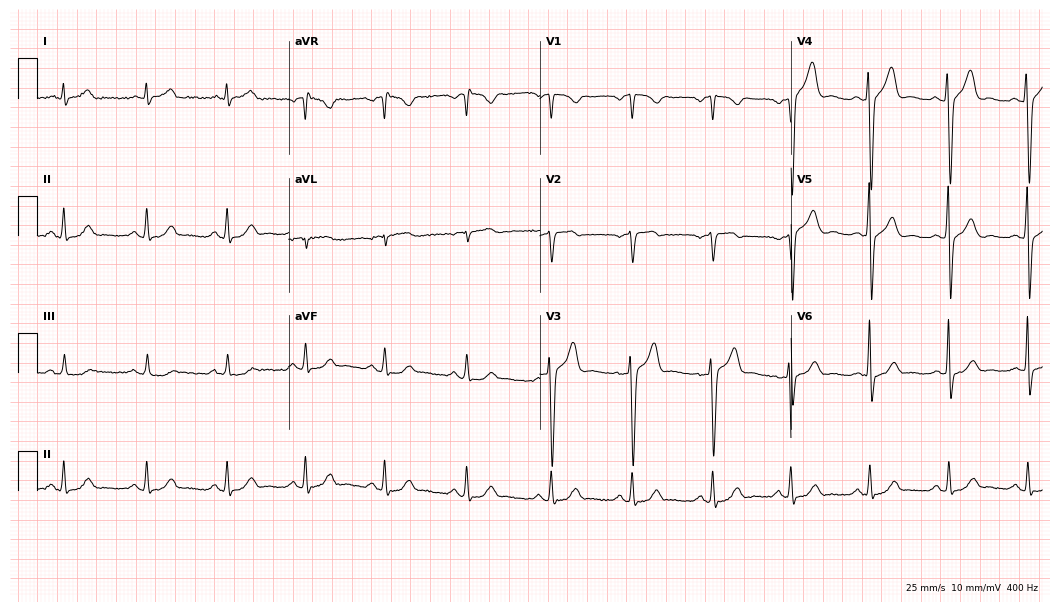
Resting 12-lead electrocardiogram. Patient: a male, 38 years old. Read as a normal ECG.